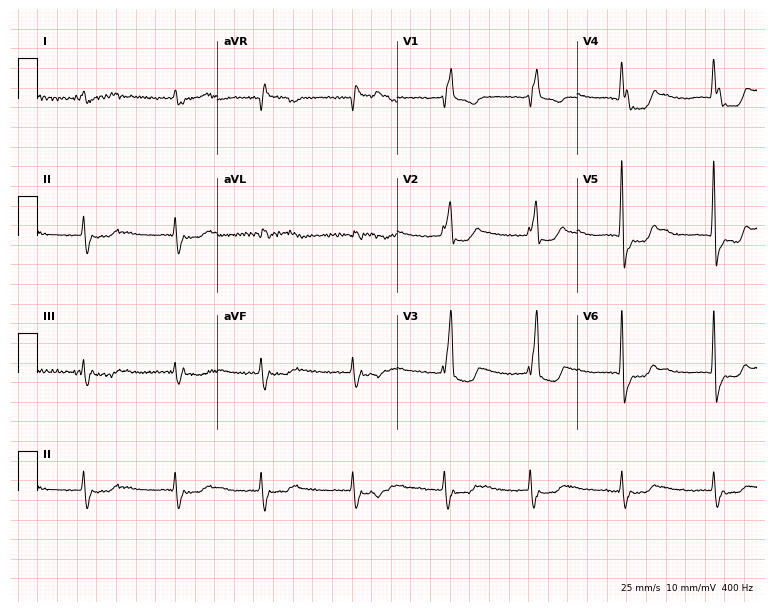
ECG — a 70-year-old male patient. Findings include right bundle branch block.